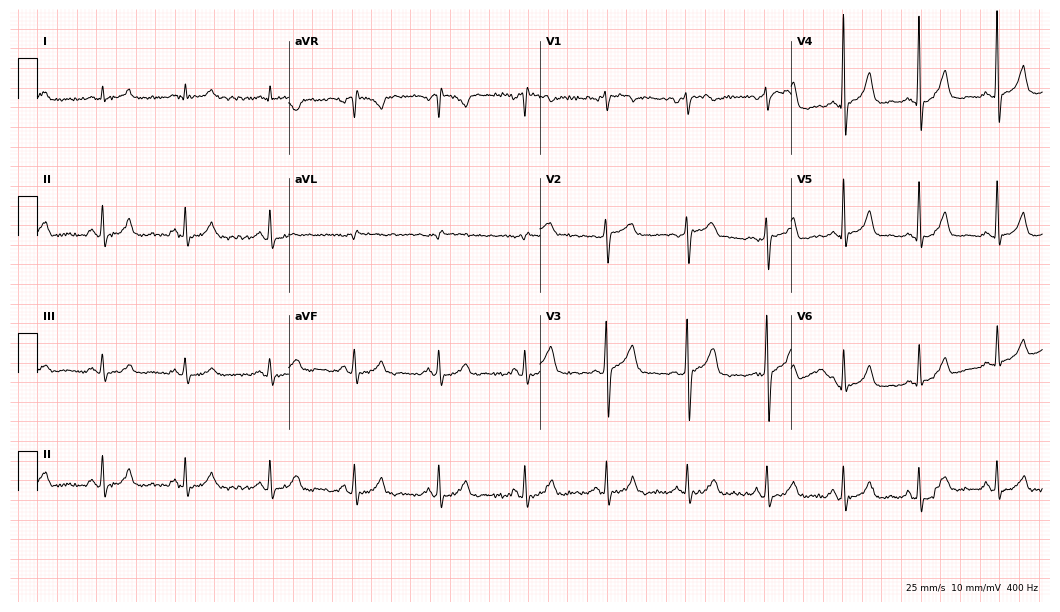
Electrocardiogram, a 53-year-old man. Overall reading on record: normal ECG.